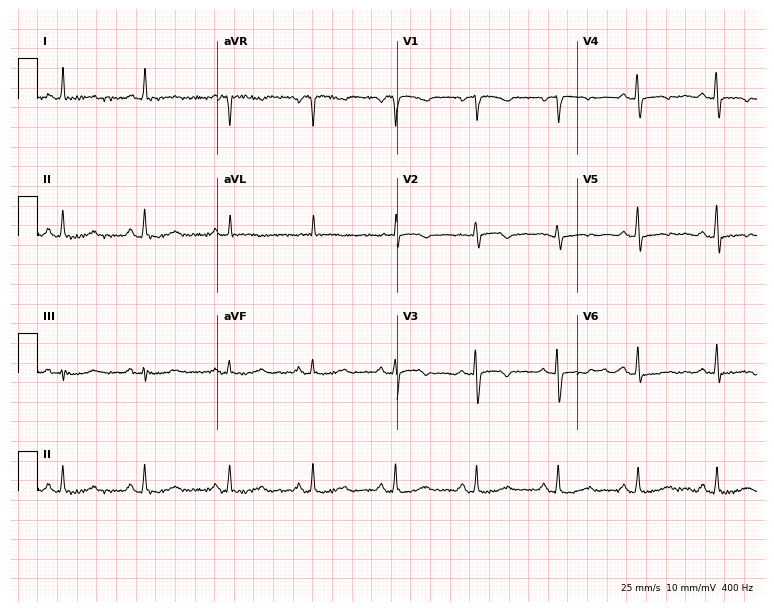
12-lead ECG from a 70-year-old female (7.3-second recording at 400 Hz). No first-degree AV block, right bundle branch block, left bundle branch block, sinus bradycardia, atrial fibrillation or sinus tachycardia recorded for this tracing. Only these six findings were labelled.